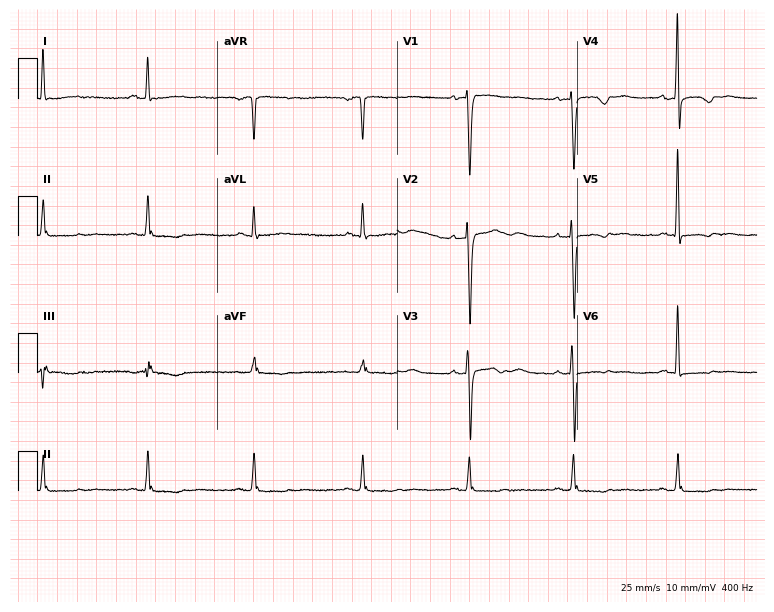
Electrocardiogram, a 54-year-old woman. Of the six screened findings (first-degree AV block, right bundle branch block, left bundle branch block, sinus bradycardia, atrial fibrillation, sinus tachycardia), none is recorded.